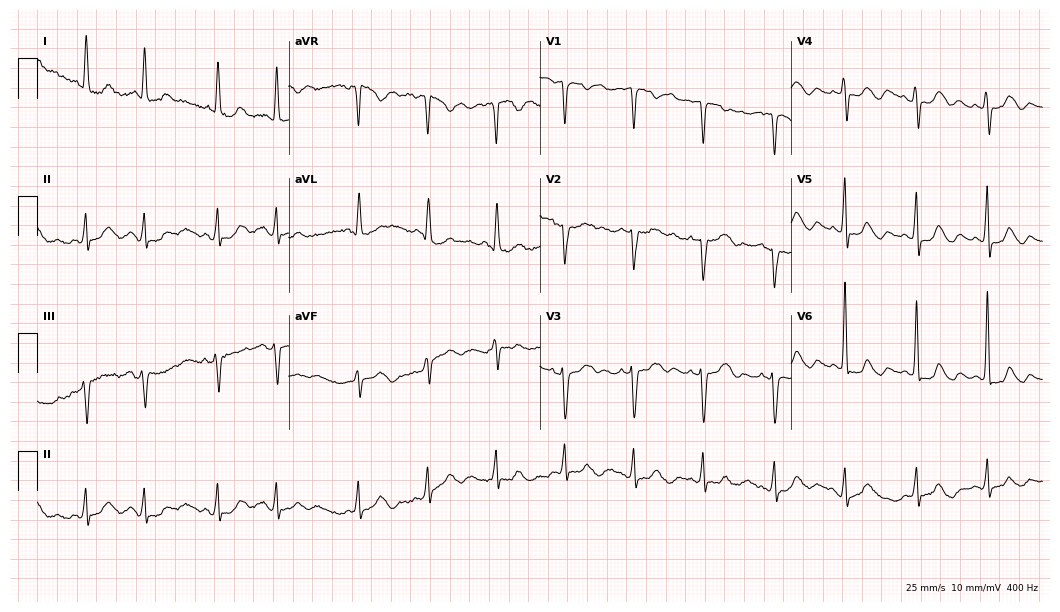
Standard 12-lead ECG recorded from a 64-year-old female patient. None of these six findings is recorded: first-degree AV block, right bundle branch block, left bundle branch block, sinus bradycardia, atrial fibrillation, sinus tachycardia. Only these six findings were labelled.